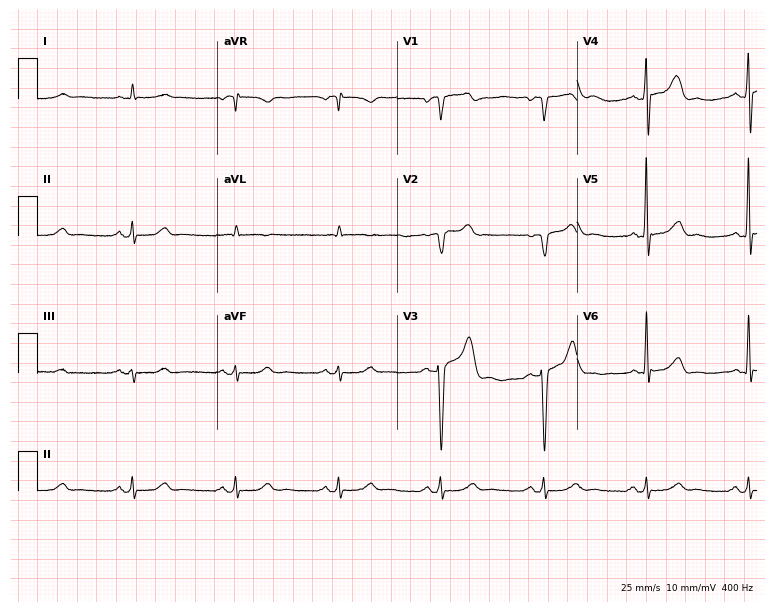
12-lead ECG from a male patient, 61 years old. Screened for six findings — first-degree AV block, right bundle branch block, left bundle branch block, sinus bradycardia, atrial fibrillation, sinus tachycardia — none is recorded. Findings outside these six are not listed.